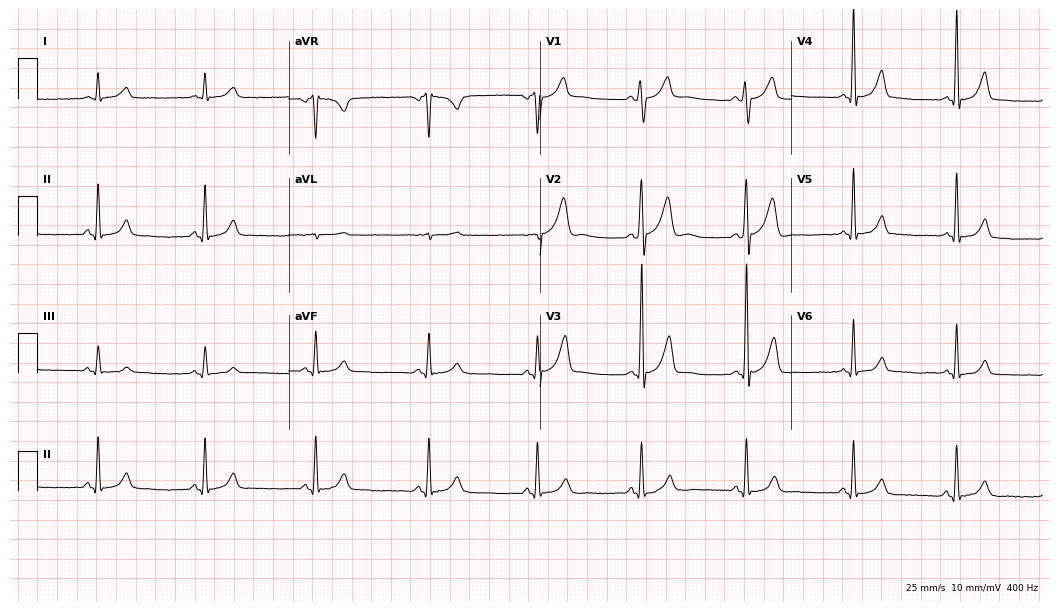
Resting 12-lead electrocardiogram. Patient: a man, 52 years old. Read as a normal ECG.